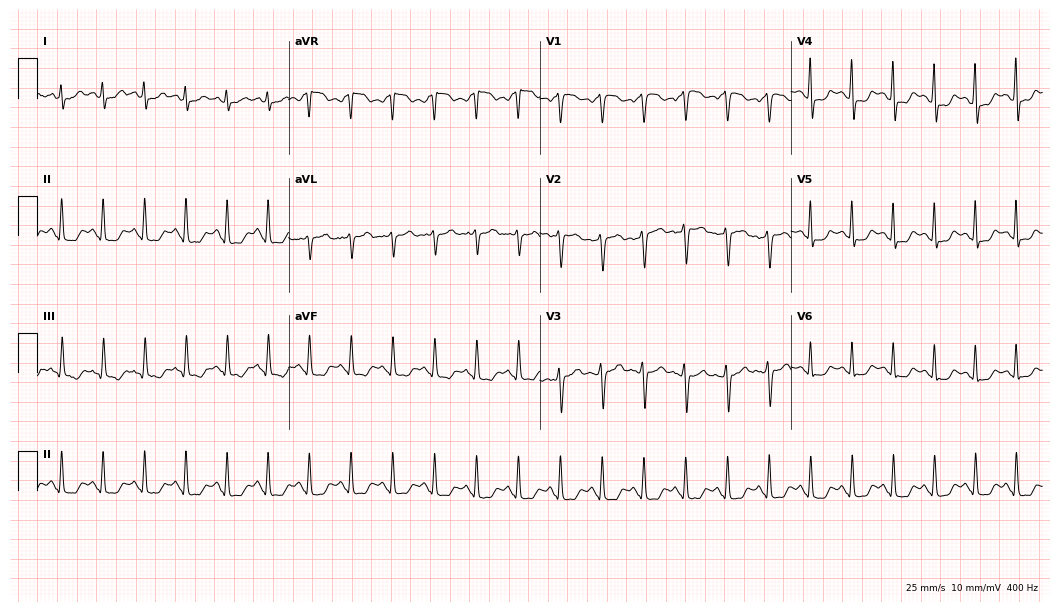
Electrocardiogram, a 47-year-old female. Interpretation includes sinus tachycardia (a sinus rate of 100 beats per minute or more).